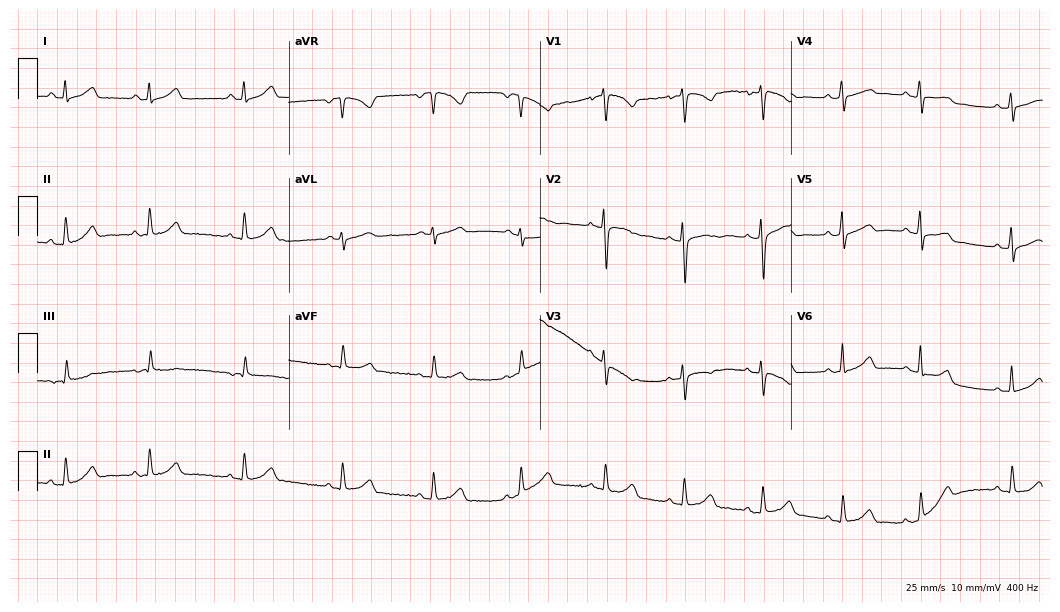
ECG (10.2-second recording at 400 Hz) — a female, 26 years old. Labelled as a normal ECG.